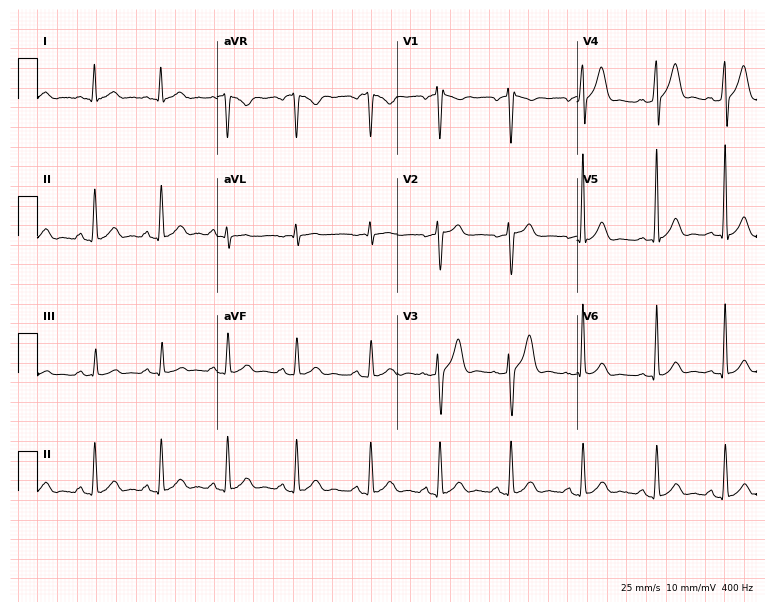
Electrocardiogram (7.3-second recording at 400 Hz), a 26-year-old man. Of the six screened findings (first-degree AV block, right bundle branch block, left bundle branch block, sinus bradycardia, atrial fibrillation, sinus tachycardia), none is recorded. Other findings, if any, are not listed.